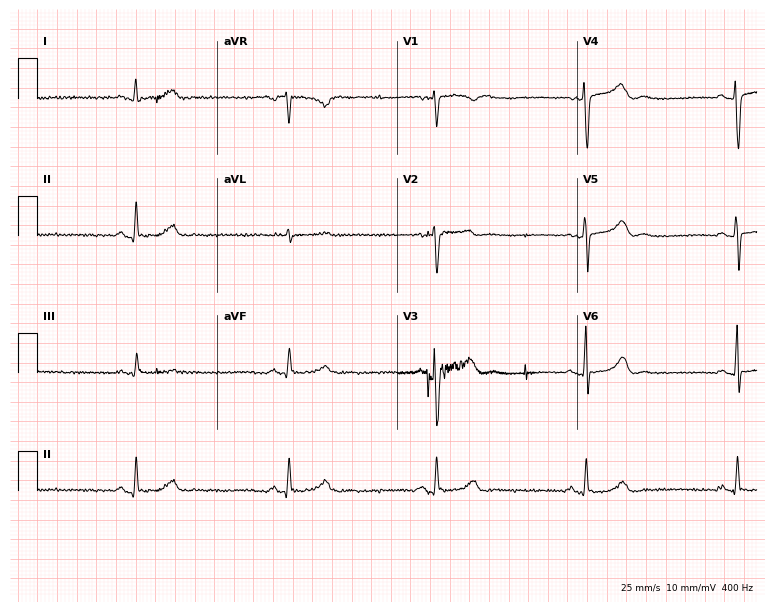
Electrocardiogram (7.3-second recording at 400 Hz), a 56-year-old male patient. Interpretation includes sinus bradycardia (a sinus rate of 50 beats per minute or less).